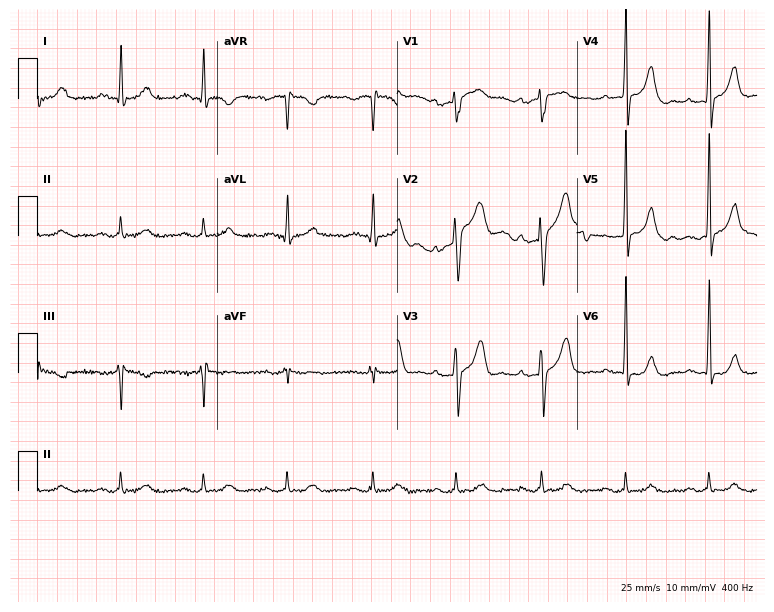
12-lead ECG from a male, 50 years old (7.3-second recording at 400 Hz). No first-degree AV block, right bundle branch block (RBBB), left bundle branch block (LBBB), sinus bradycardia, atrial fibrillation (AF) or sinus tachycardia recorded for this tracing.